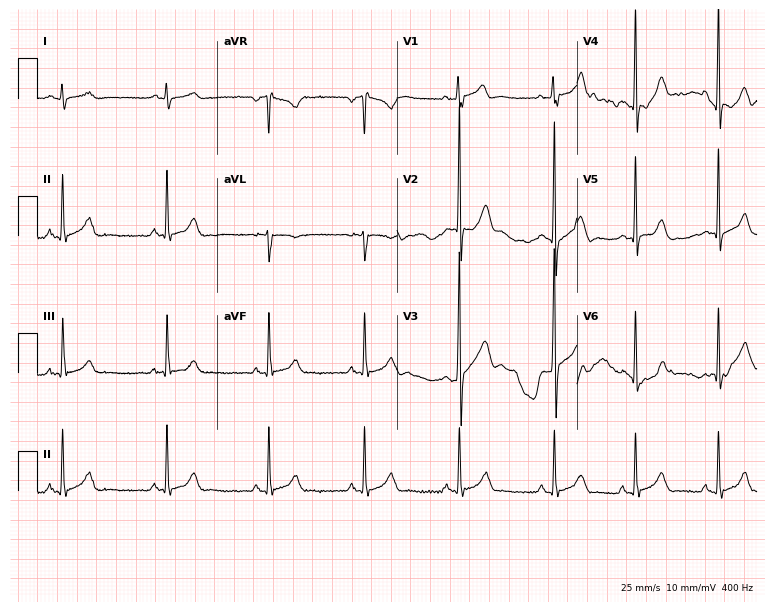
12-lead ECG from a man, 18 years old. Recorded interpretation: within normal limits.